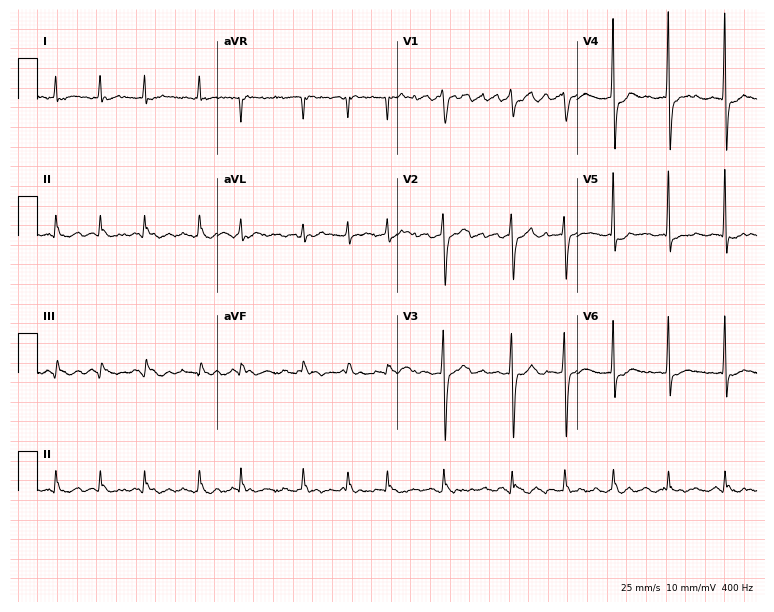
Electrocardiogram, a 64-year-old woman. Interpretation includes atrial fibrillation.